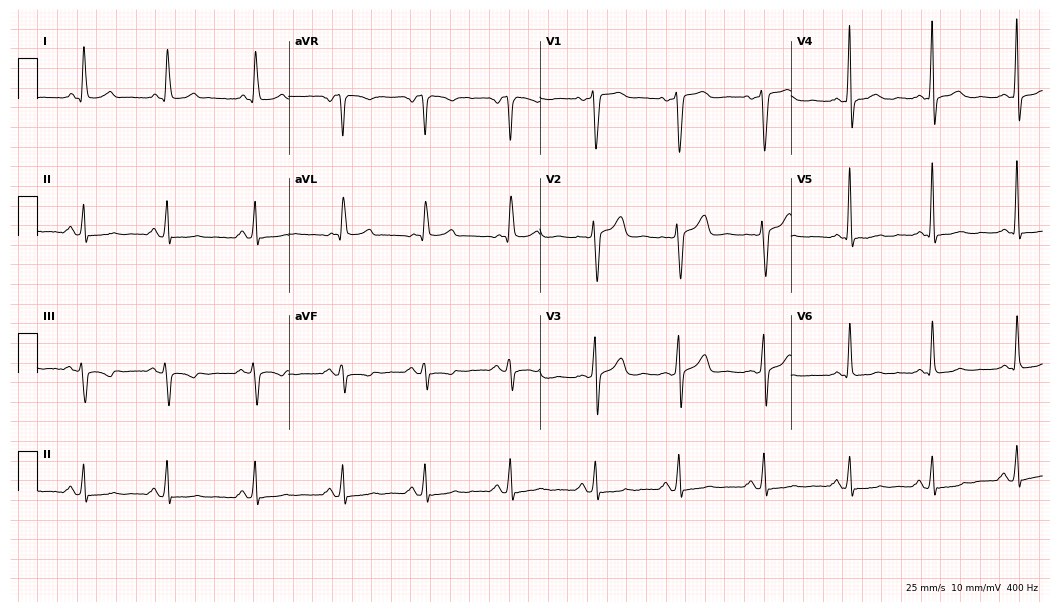
Electrocardiogram, a woman, 58 years old. Of the six screened findings (first-degree AV block, right bundle branch block (RBBB), left bundle branch block (LBBB), sinus bradycardia, atrial fibrillation (AF), sinus tachycardia), none is recorded.